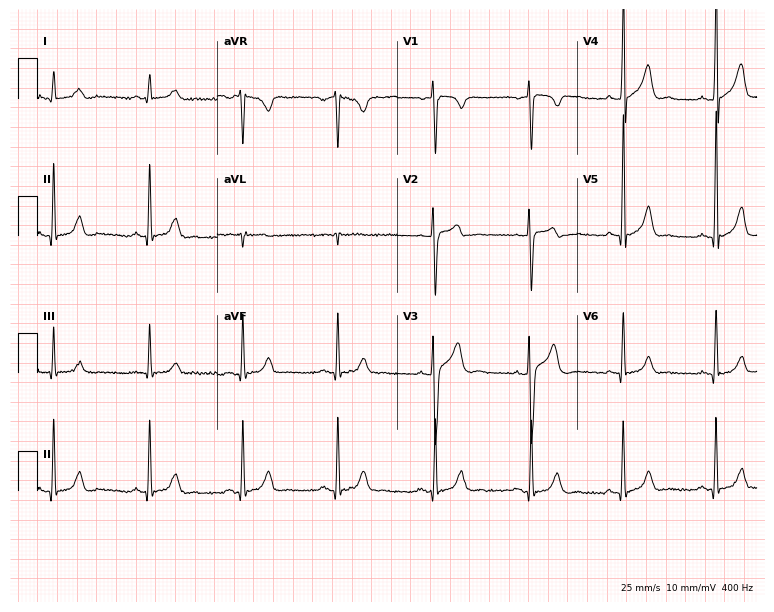
12-lead ECG from a 35-year-old man. No first-degree AV block, right bundle branch block (RBBB), left bundle branch block (LBBB), sinus bradycardia, atrial fibrillation (AF) or sinus tachycardia recorded for this tracing. Other findings, if any, are not listed.